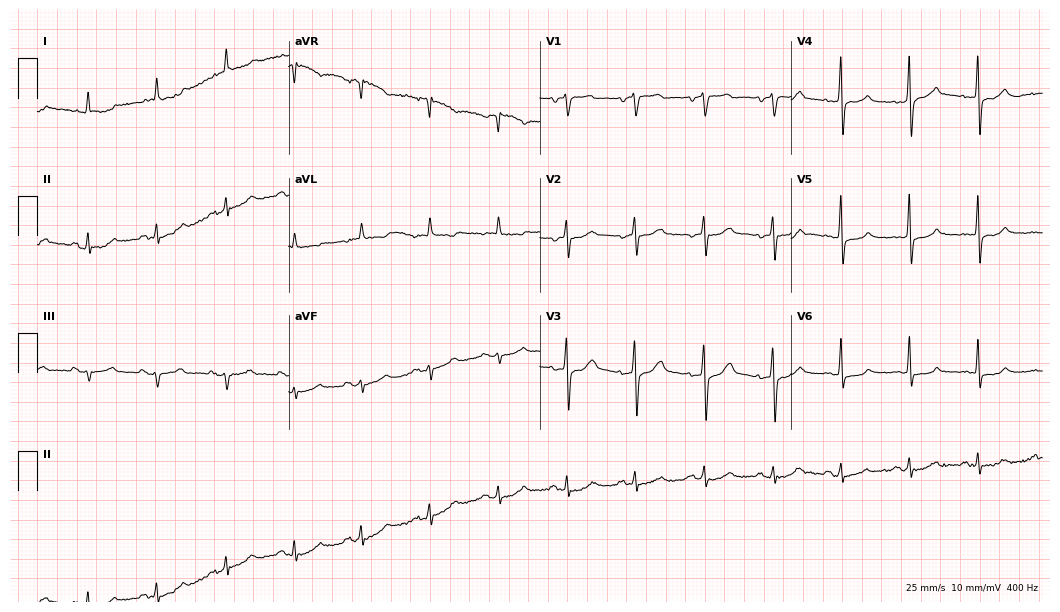
12-lead ECG from a 77-year-old man. Screened for six findings — first-degree AV block, right bundle branch block (RBBB), left bundle branch block (LBBB), sinus bradycardia, atrial fibrillation (AF), sinus tachycardia — none is recorded. Findings outside these six are not listed.